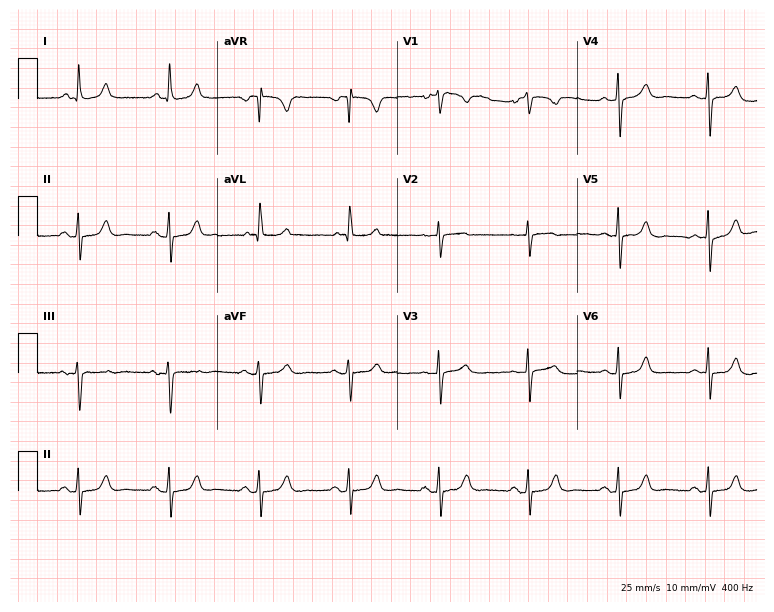
12-lead ECG from an 83-year-old woman (7.3-second recording at 400 Hz). No first-degree AV block, right bundle branch block (RBBB), left bundle branch block (LBBB), sinus bradycardia, atrial fibrillation (AF) or sinus tachycardia recorded for this tracing. Only these six findings were labelled.